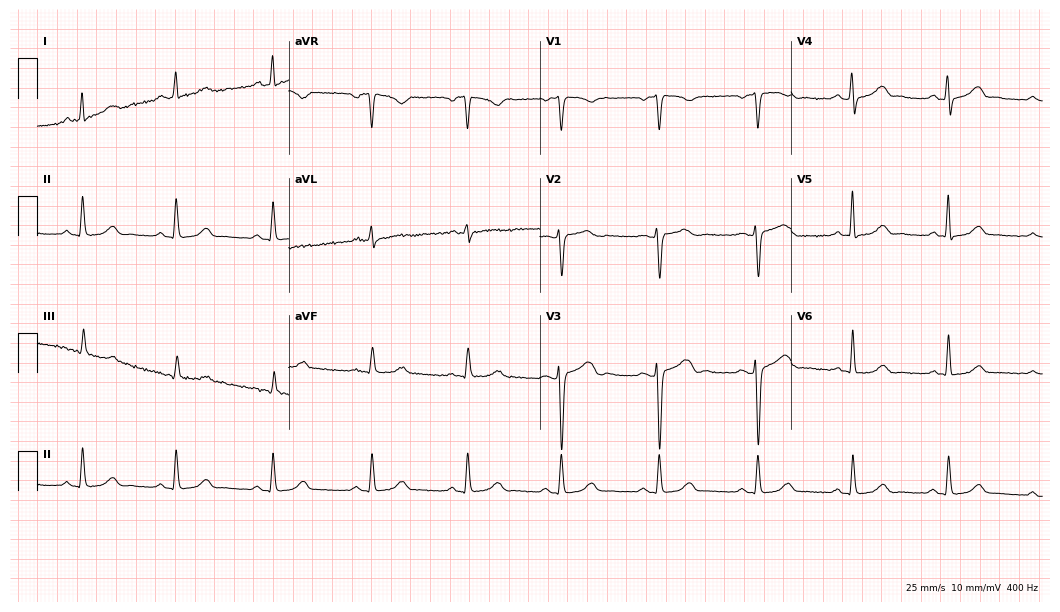
Standard 12-lead ECG recorded from a female, 48 years old (10.2-second recording at 400 Hz). Read as a normal ECG.